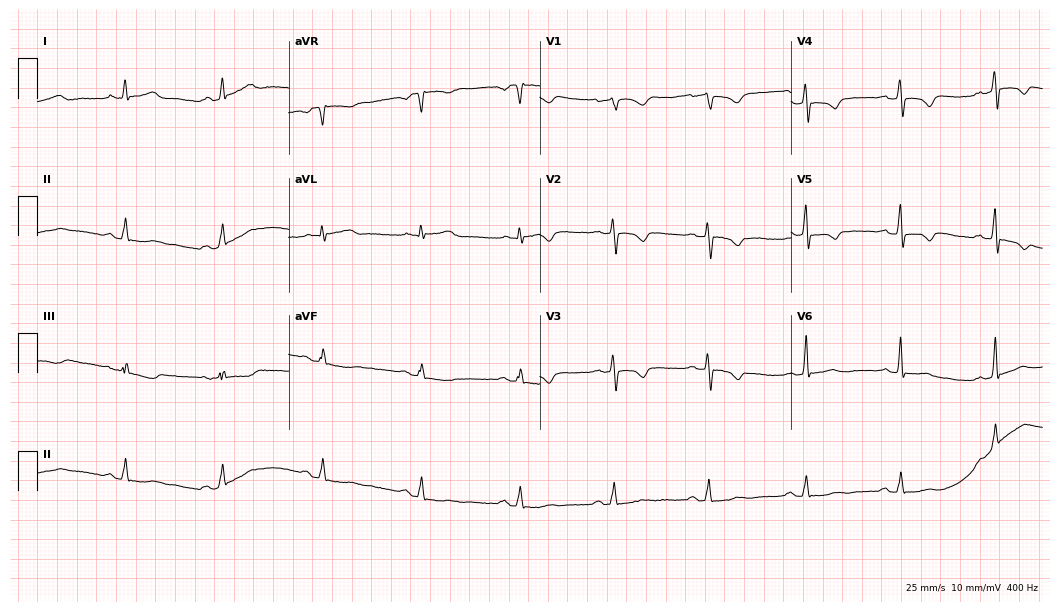
Electrocardiogram (10.2-second recording at 400 Hz), a 52-year-old female patient. Of the six screened findings (first-degree AV block, right bundle branch block, left bundle branch block, sinus bradycardia, atrial fibrillation, sinus tachycardia), none is recorded. Only these six findings were labelled.